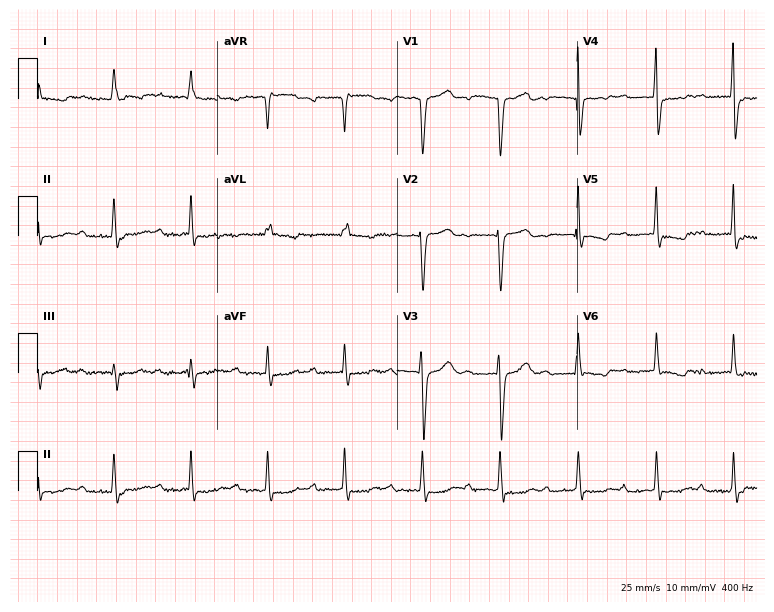
Electrocardiogram, a 70-year-old male patient. Of the six screened findings (first-degree AV block, right bundle branch block (RBBB), left bundle branch block (LBBB), sinus bradycardia, atrial fibrillation (AF), sinus tachycardia), none is recorded.